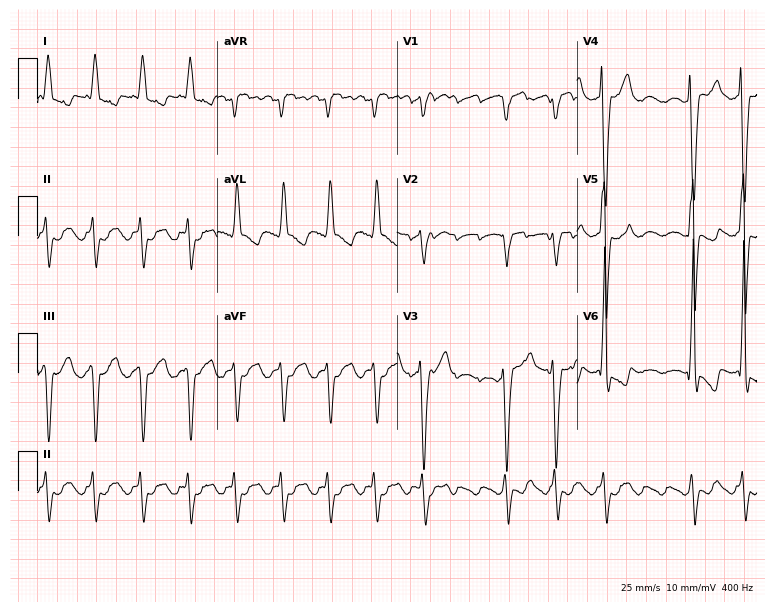
12-lead ECG (7.3-second recording at 400 Hz) from a male, 45 years old. Screened for six findings — first-degree AV block, right bundle branch block, left bundle branch block, sinus bradycardia, atrial fibrillation, sinus tachycardia — none is recorded.